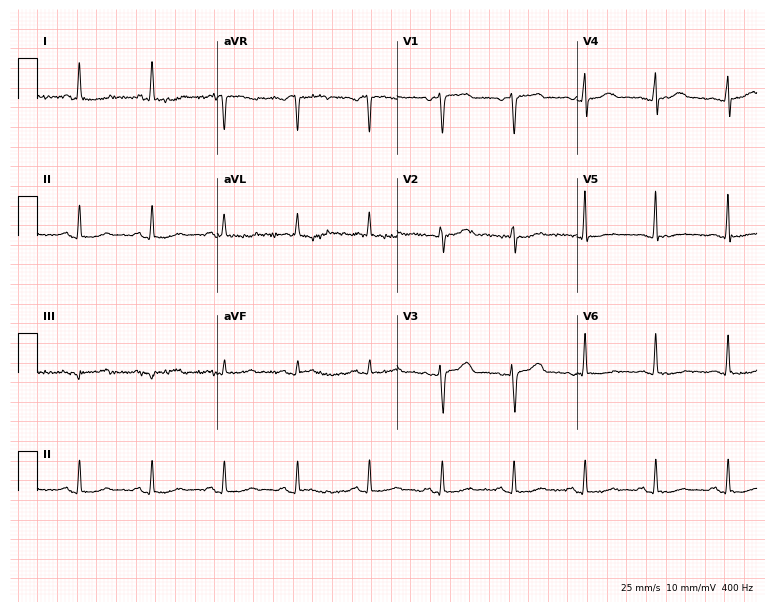
ECG — a 63-year-old female patient. Labelled as a normal ECG.